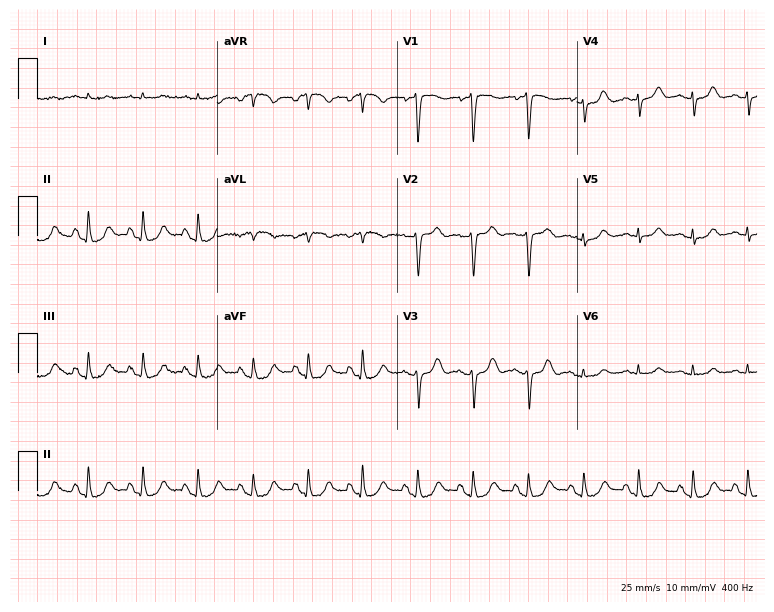
Standard 12-lead ECG recorded from a 64-year-old male patient (7.3-second recording at 400 Hz). None of these six findings is recorded: first-degree AV block, right bundle branch block, left bundle branch block, sinus bradycardia, atrial fibrillation, sinus tachycardia.